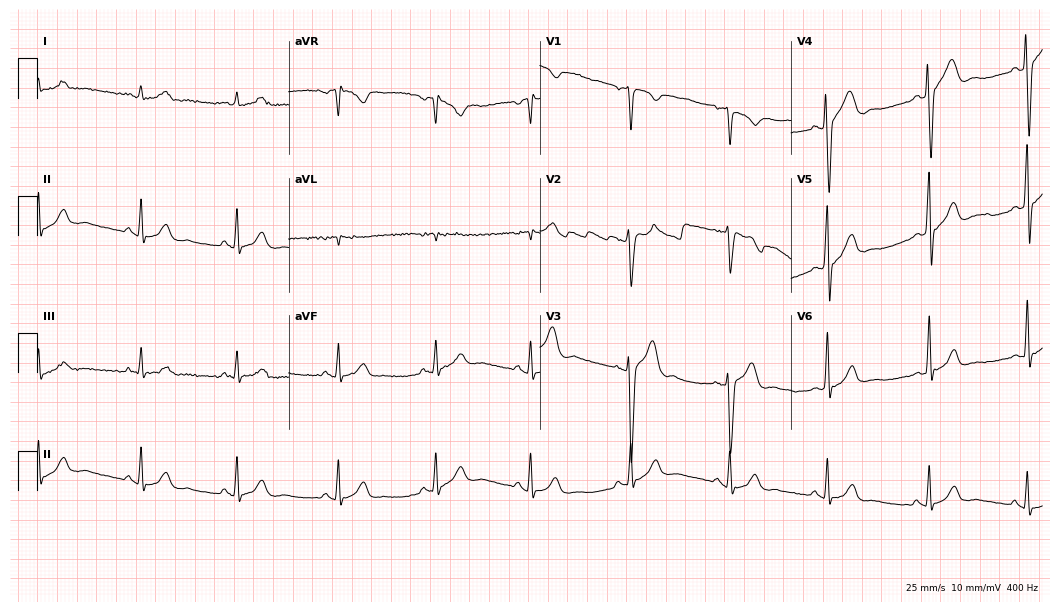
12-lead ECG from a male, 23 years old. Recorded interpretation: within normal limits.